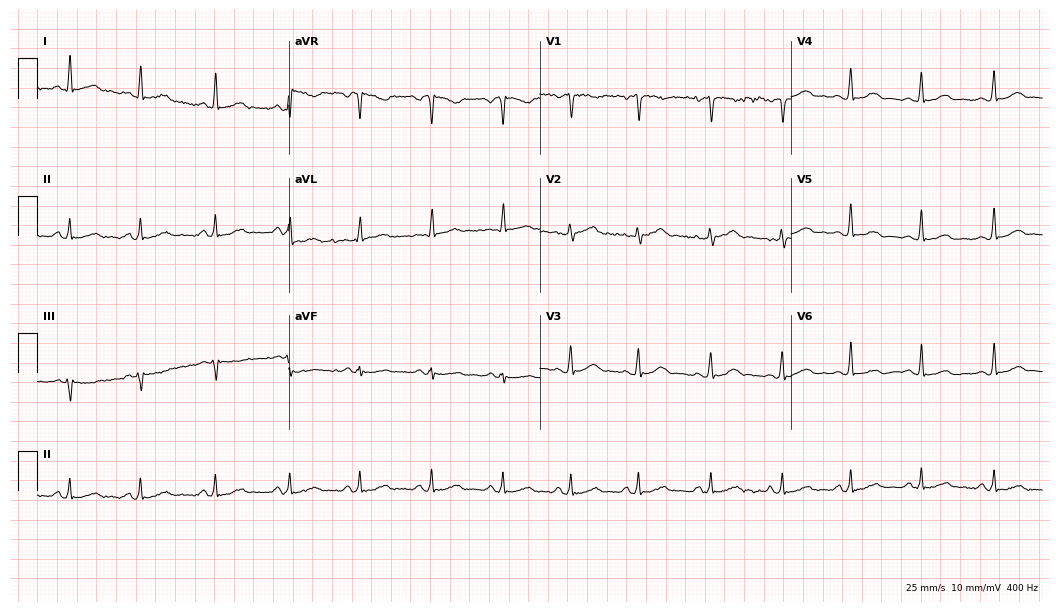
12-lead ECG from a 26-year-old woman. Labelled as a normal ECG.